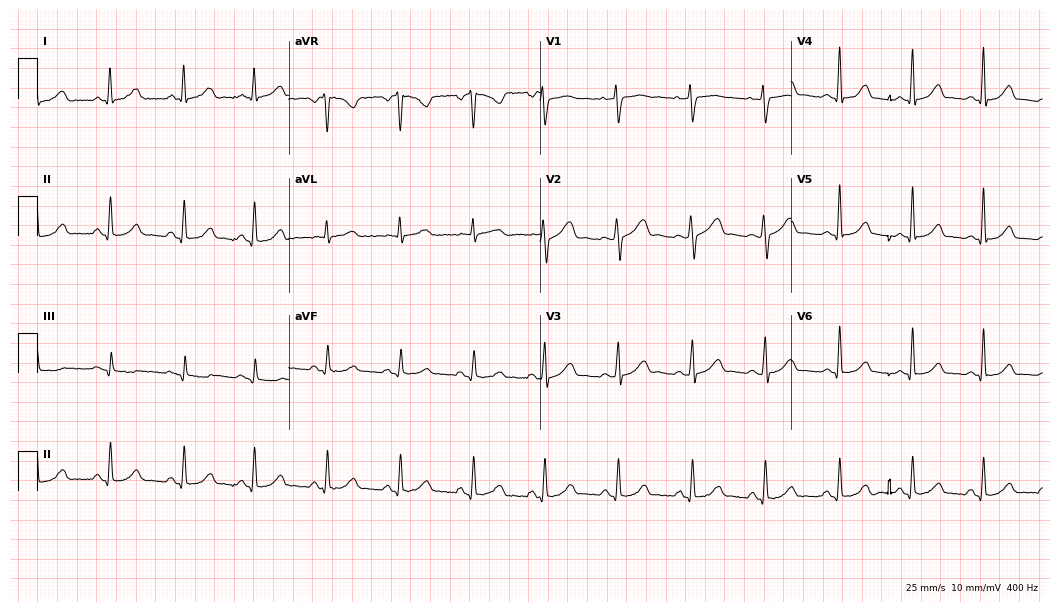
ECG (10.2-second recording at 400 Hz) — a female patient, 30 years old. Labelled as a normal ECG.